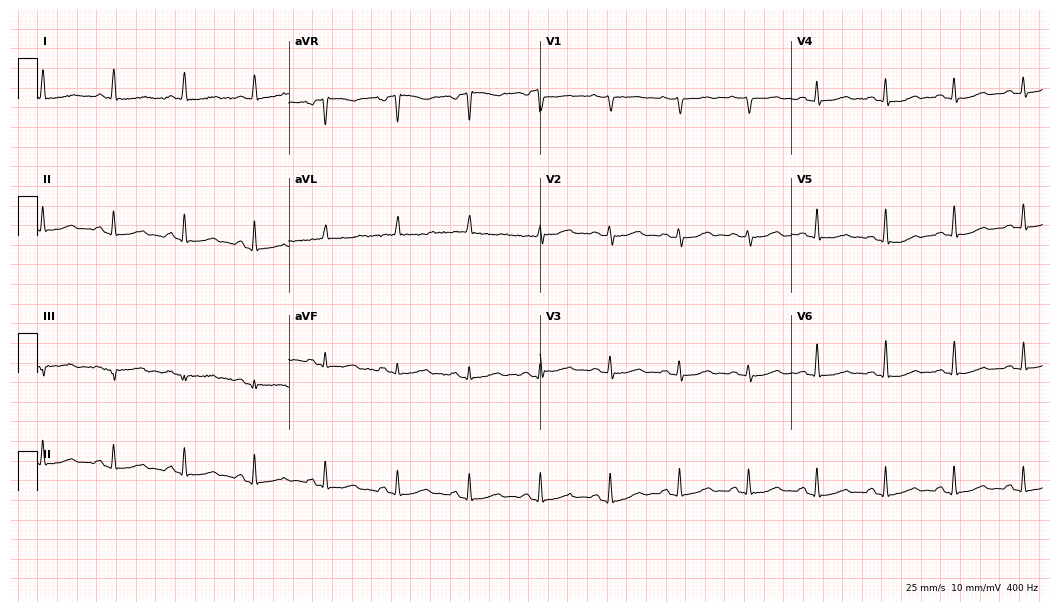
Electrocardiogram, an 81-year-old female patient. Of the six screened findings (first-degree AV block, right bundle branch block, left bundle branch block, sinus bradycardia, atrial fibrillation, sinus tachycardia), none is recorded. Findings outside these six are not listed.